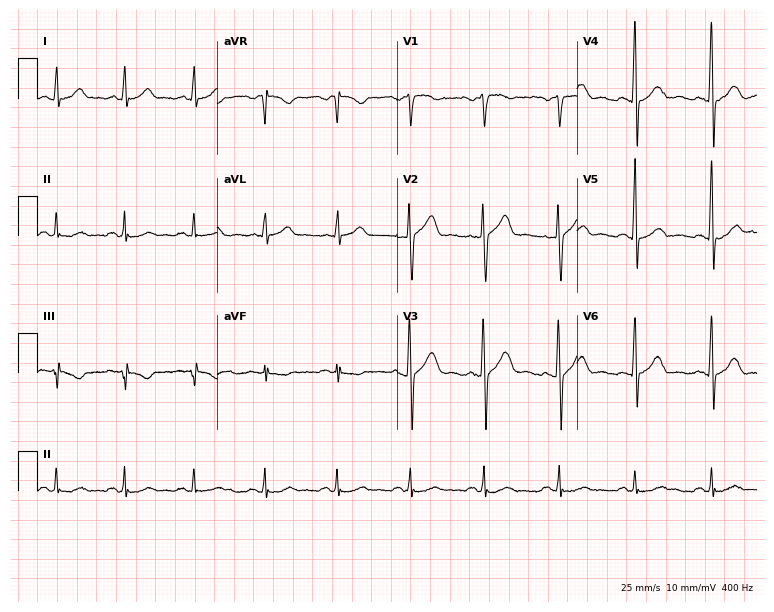
Electrocardiogram (7.3-second recording at 400 Hz), a 60-year-old male patient. Overall reading on record: normal ECG.